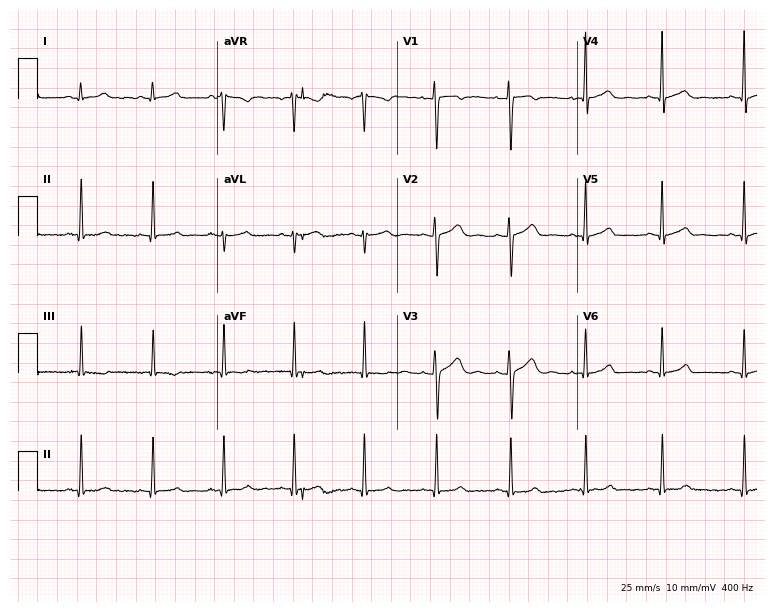
Resting 12-lead electrocardiogram. Patient: a female, 31 years old. Read as a normal ECG.